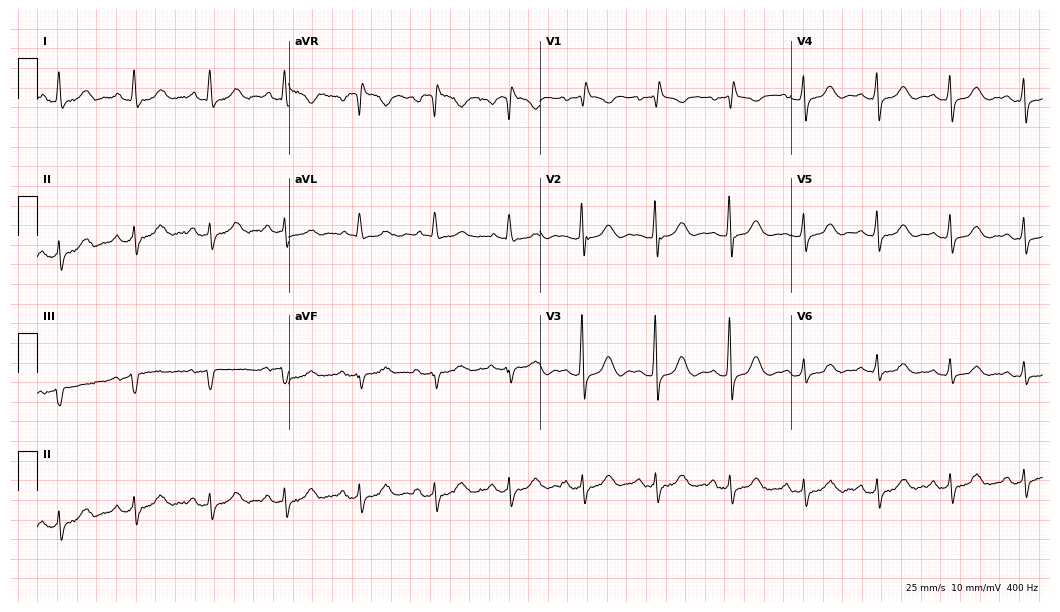
Resting 12-lead electrocardiogram. Patient: a 75-year-old female. The tracing shows right bundle branch block.